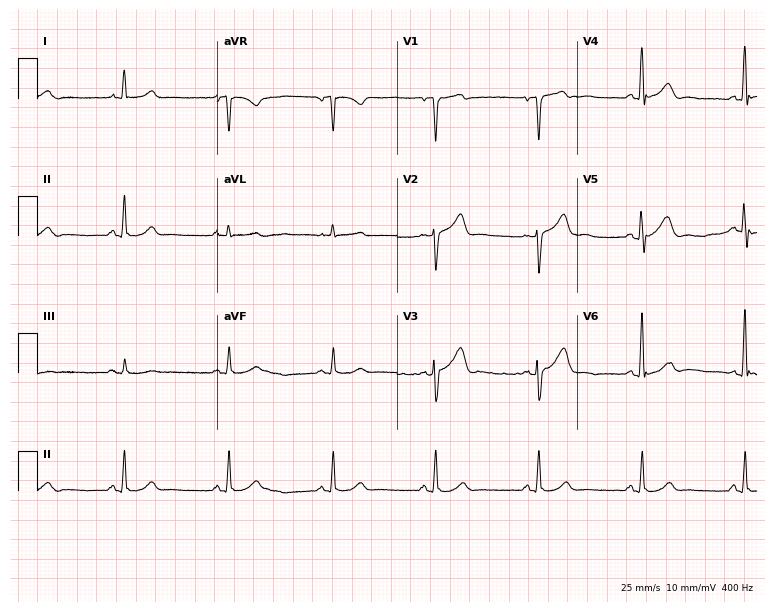
ECG (7.3-second recording at 400 Hz) — a male, 64 years old. Labelled as a normal ECG.